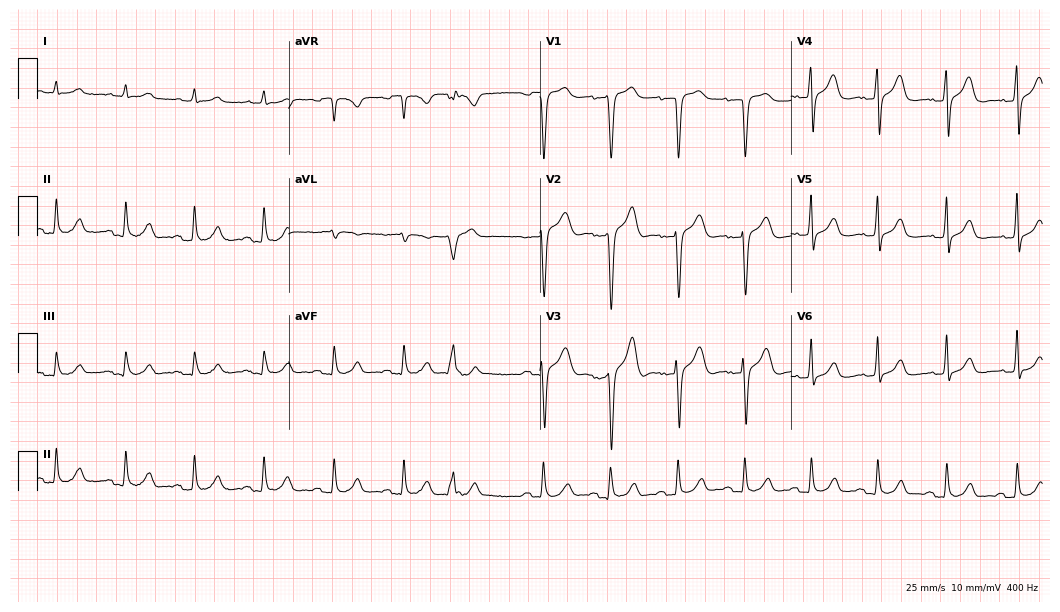
ECG (10.2-second recording at 400 Hz) — a 78-year-old man. Labelled as a normal ECG.